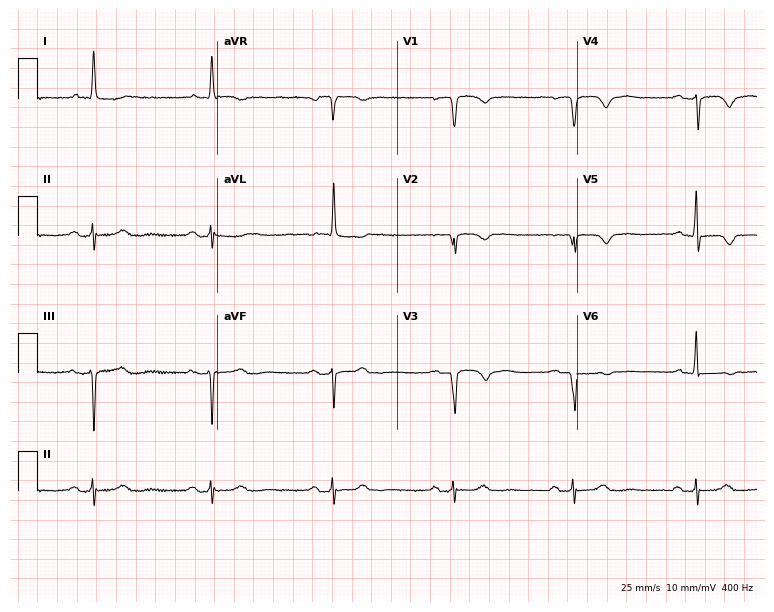
Standard 12-lead ECG recorded from an 80-year-old female. None of these six findings is recorded: first-degree AV block, right bundle branch block, left bundle branch block, sinus bradycardia, atrial fibrillation, sinus tachycardia. Only these six findings were labelled.